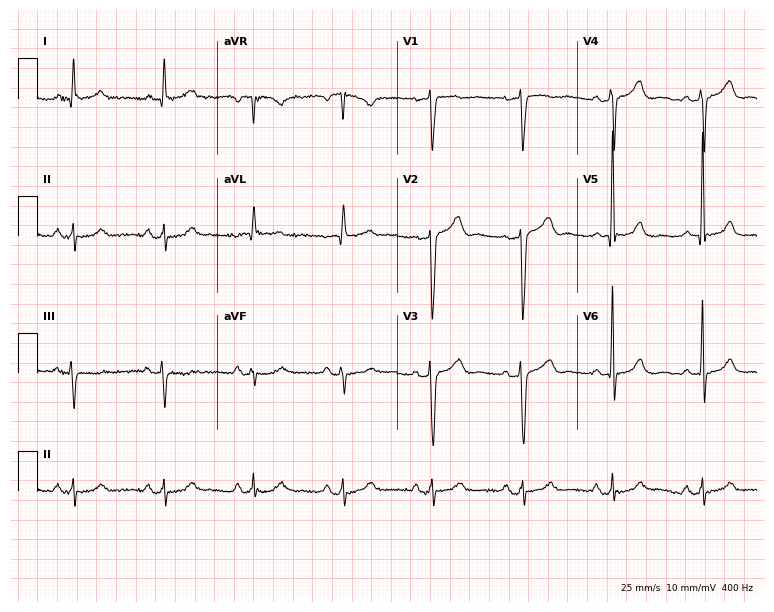
12-lead ECG from a 69-year-old male. Labelled as a normal ECG.